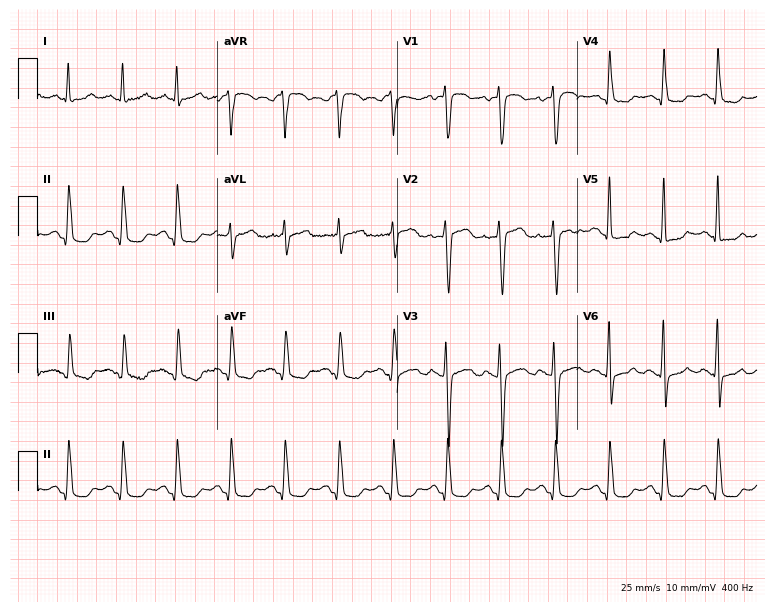
Standard 12-lead ECG recorded from a 37-year-old woman (7.3-second recording at 400 Hz). The tracing shows sinus tachycardia (a sinus rate of 100 beats per minute or more).